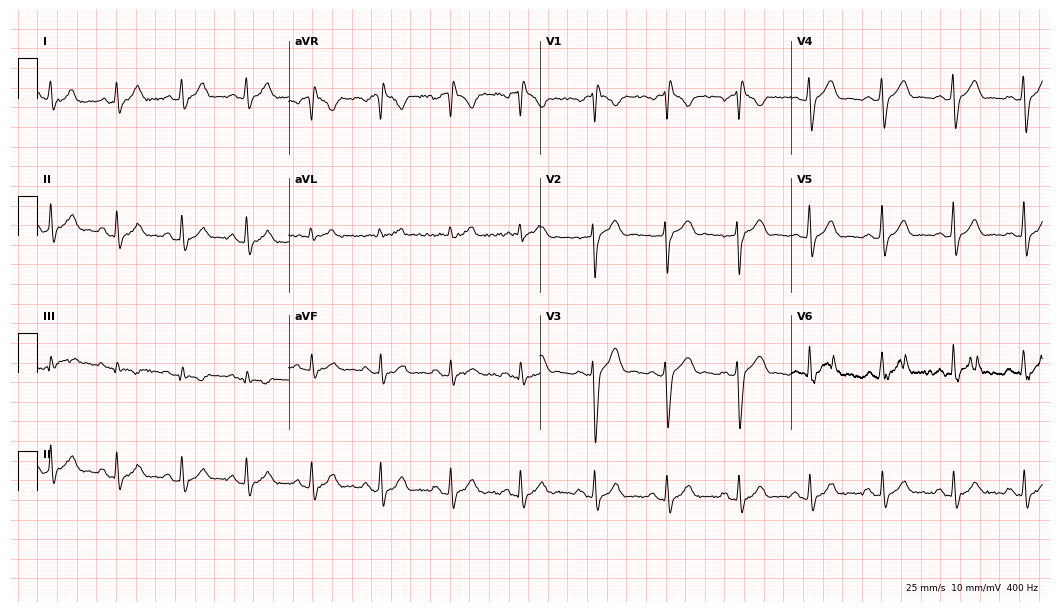
12-lead ECG from a 37-year-old male. No first-degree AV block, right bundle branch block, left bundle branch block, sinus bradycardia, atrial fibrillation or sinus tachycardia recorded for this tracing.